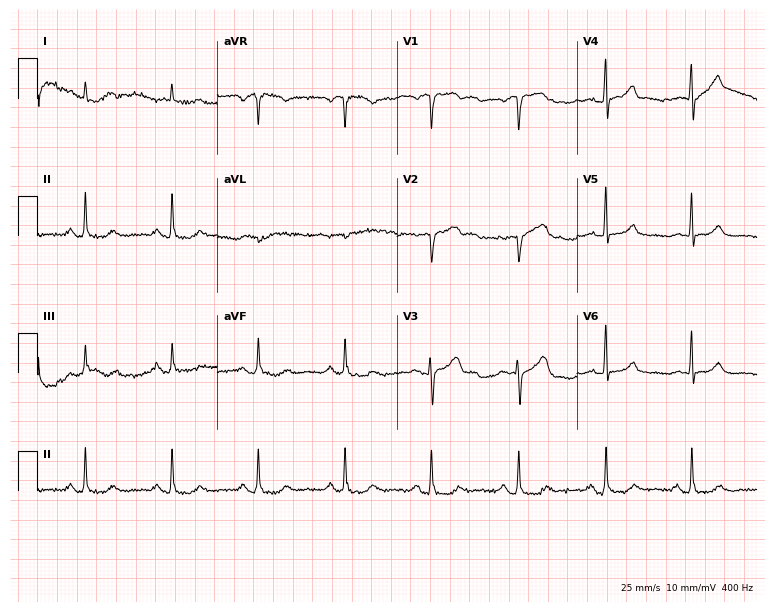
12-lead ECG from a 73-year-old man. Recorded interpretation: within normal limits.